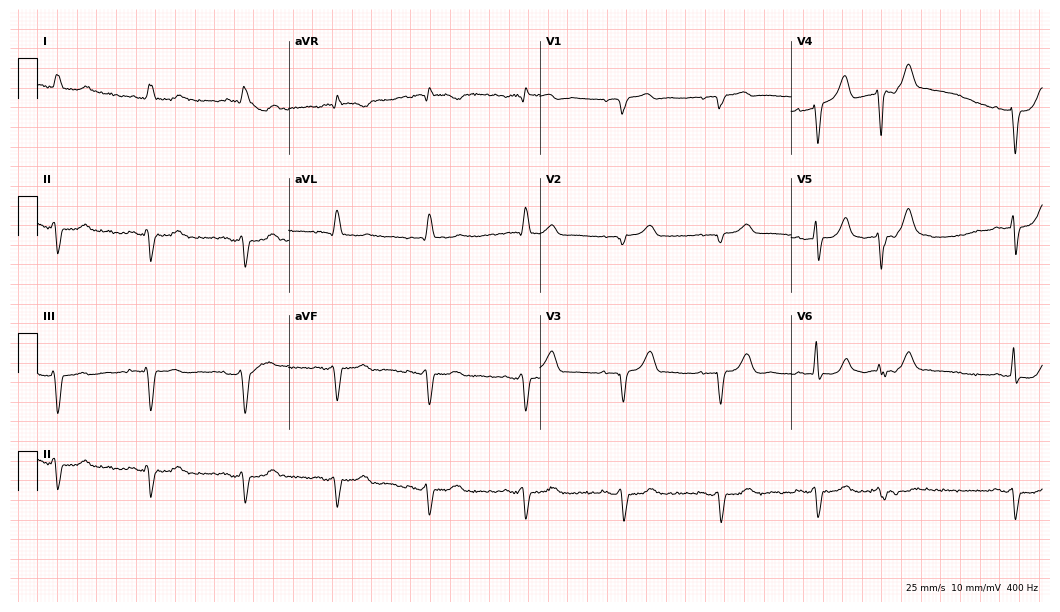
Standard 12-lead ECG recorded from a male patient, 75 years old (10.2-second recording at 400 Hz). The tracing shows left bundle branch block.